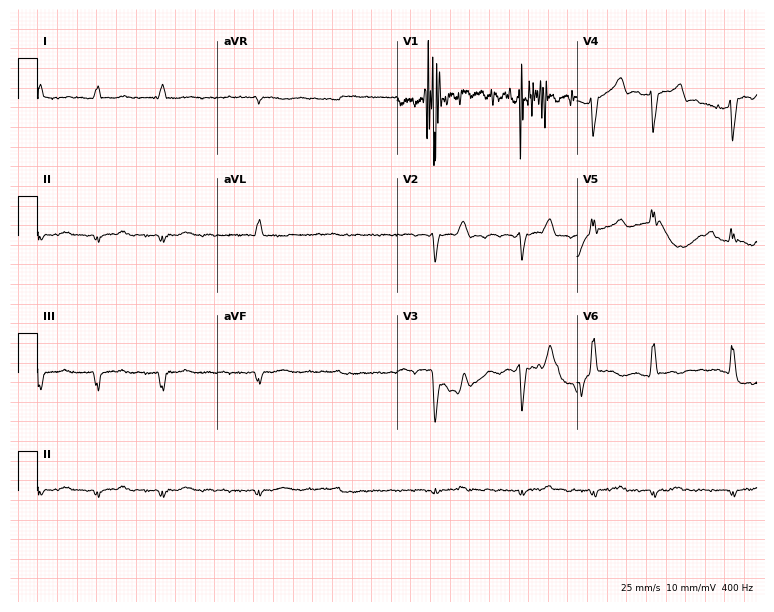
Standard 12-lead ECG recorded from a male, 70 years old. None of these six findings is recorded: first-degree AV block, right bundle branch block (RBBB), left bundle branch block (LBBB), sinus bradycardia, atrial fibrillation (AF), sinus tachycardia. Other findings, if any, are not listed.